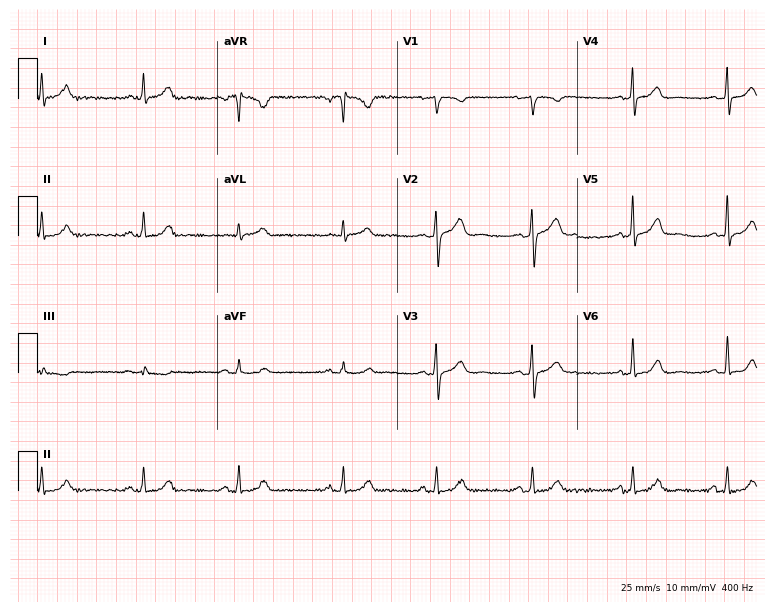
ECG (7.3-second recording at 400 Hz) — a woman, 47 years old. Labelled as a normal ECG.